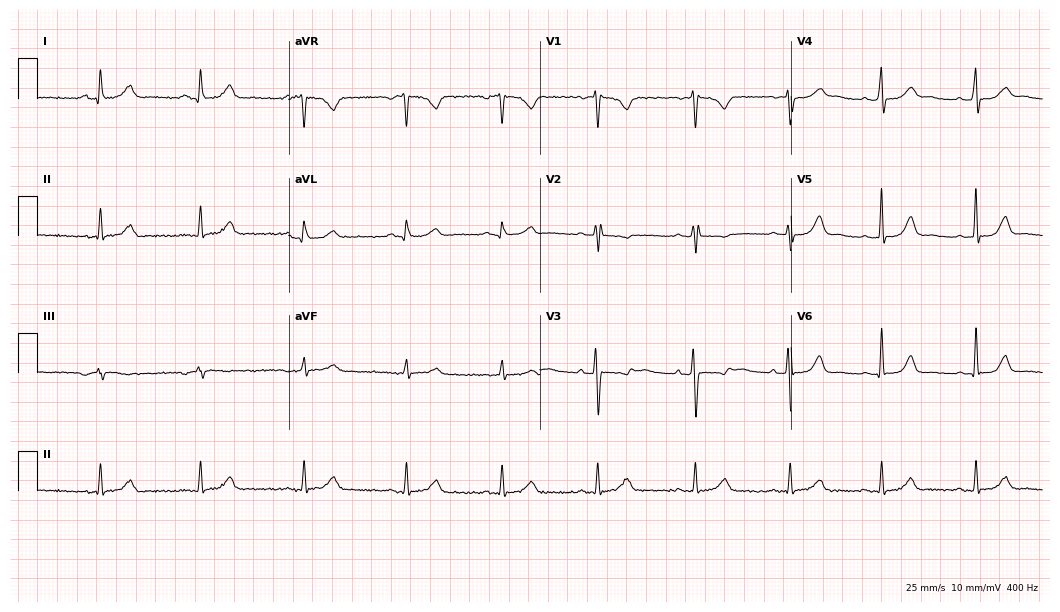
Electrocardiogram, a 31-year-old female. Of the six screened findings (first-degree AV block, right bundle branch block (RBBB), left bundle branch block (LBBB), sinus bradycardia, atrial fibrillation (AF), sinus tachycardia), none is recorded.